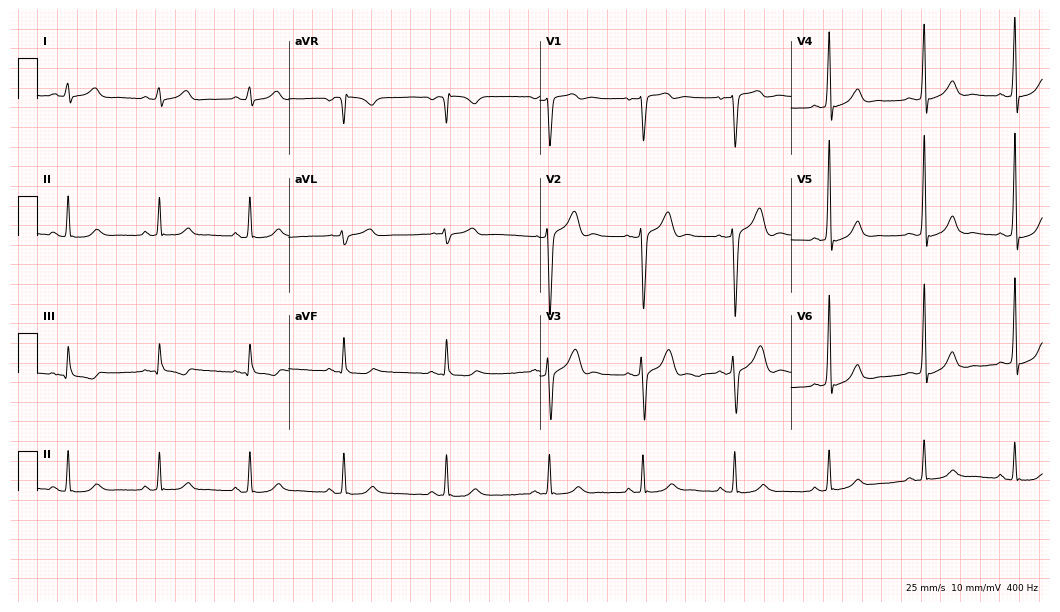
12-lead ECG from a male patient, 41 years old. Screened for six findings — first-degree AV block, right bundle branch block, left bundle branch block, sinus bradycardia, atrial fibrillation, sinus tachycardia — none is recorded. Only these six findings were labelled.